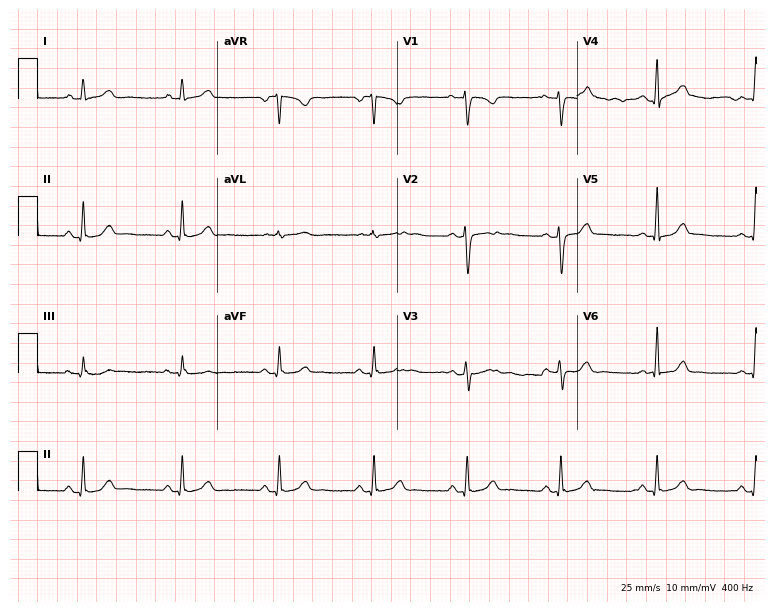
Standard 12-lead ECG recorded from an 18-year-old woman. Read as a normal ECG.